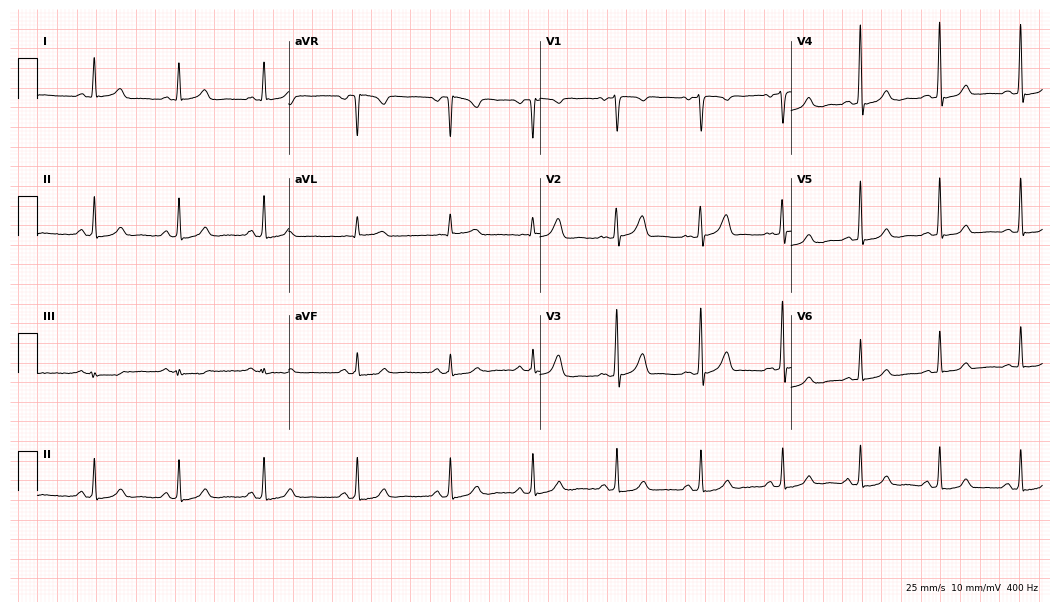
12-lead ECG (10.2-second recording at 400 Hz) from a female patient, 37 years old. Labelled as a normal ECG.